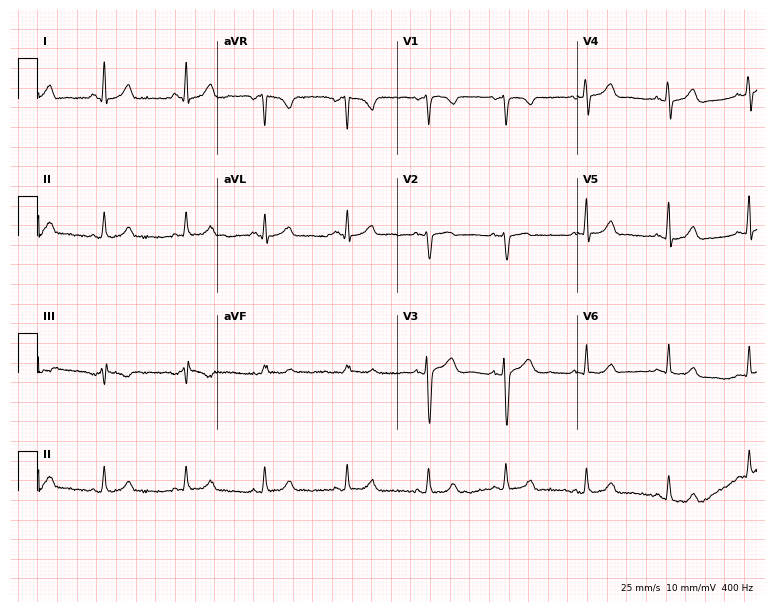
12-lead ECG from a 26-year-old female patient (7.3-second recording at 400 Hz). Recorded interpretation: within normal limits.